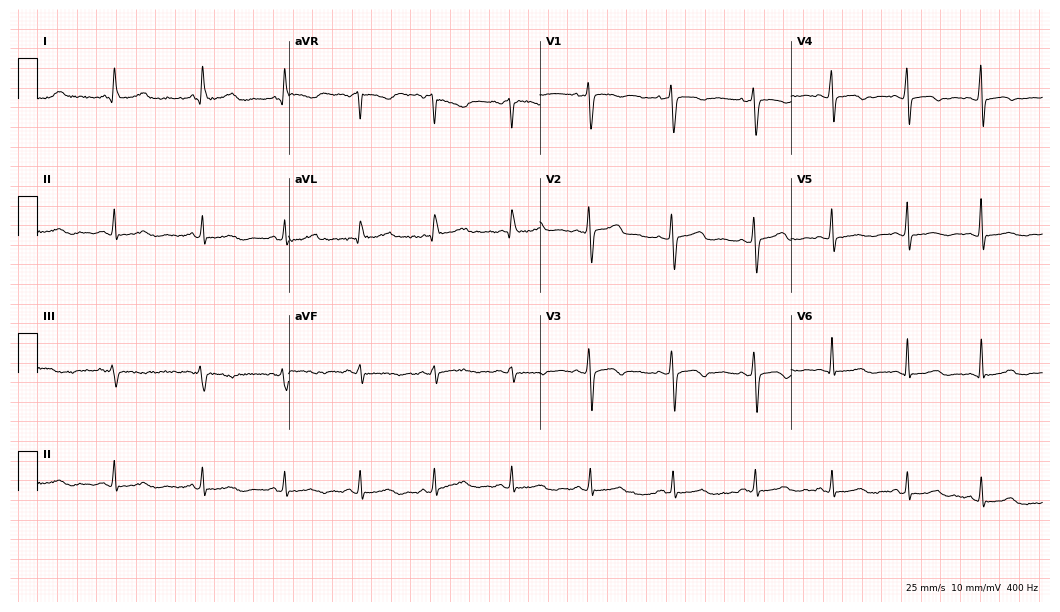
12-lead ECG (10.2-second recording at 400 Hz) from a female, 23 years old. Screened for six findings — first-degree AV block, right bundle branch block, left bundle branch block, sinus bradycardia, atrial fibrillation, sinus tachycardia — none is recorded. Other findings, if any, are not listed.